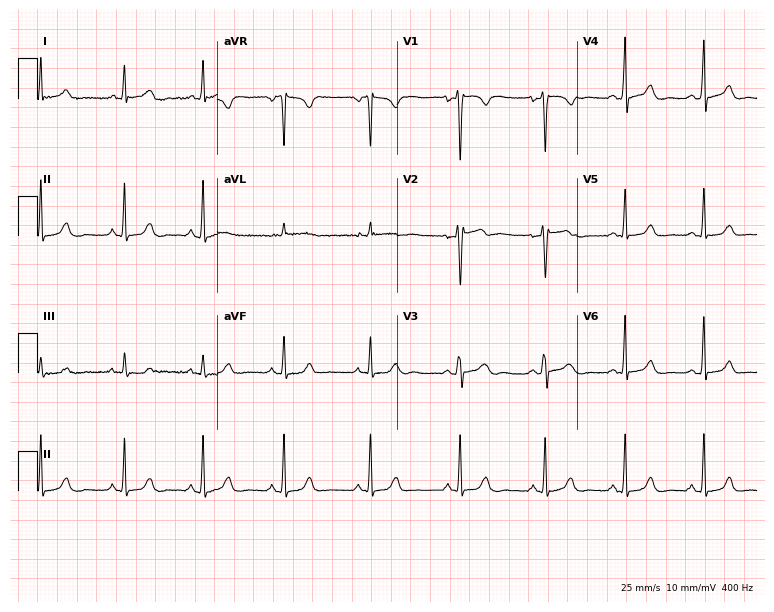
12-lead ECG from a female, 32 years old. Recorded interpretation: within normal limits.